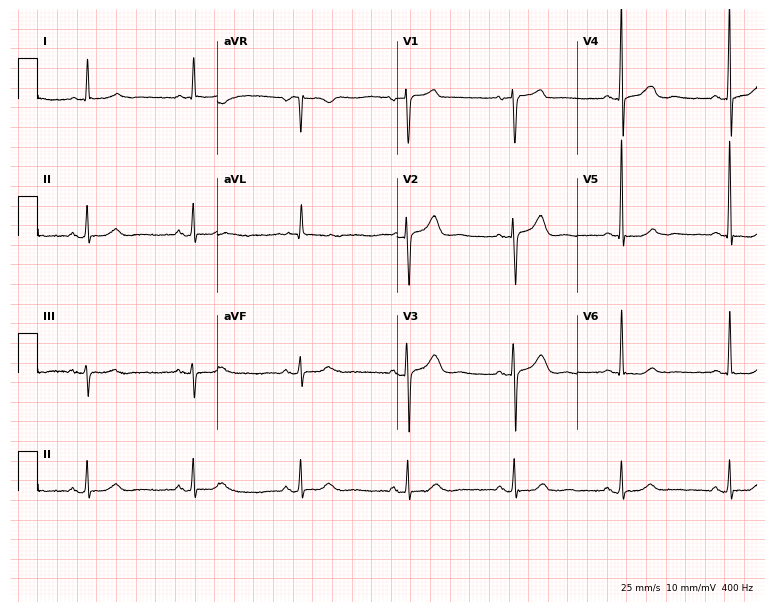
12-lead ECG from a female patient, 77 years old. Screened for six findings — first-degree AV block, right bundle branch block, left bundle branch block, sinus bradycardia, atrial fibrillation, sinus tachycardia — none is recorded. Only these six findings were labelled.